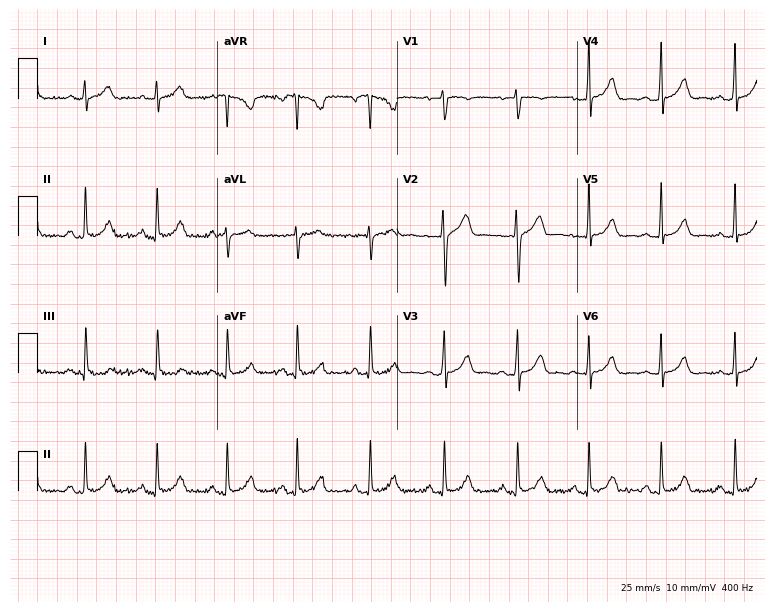
12-lead ECG from a 27-year-old female patient (7.3-second recording at 400 Hz). Recorded interpretation: within normal limits.